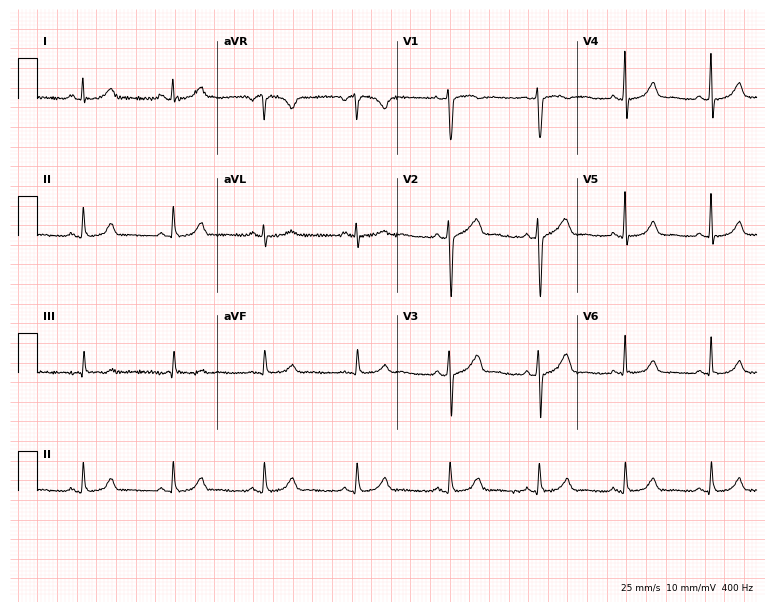
12-lead ECG from a 46-year-old female (7.3-second recording at 400 Hz). Recorded interpretation: within normal limits.